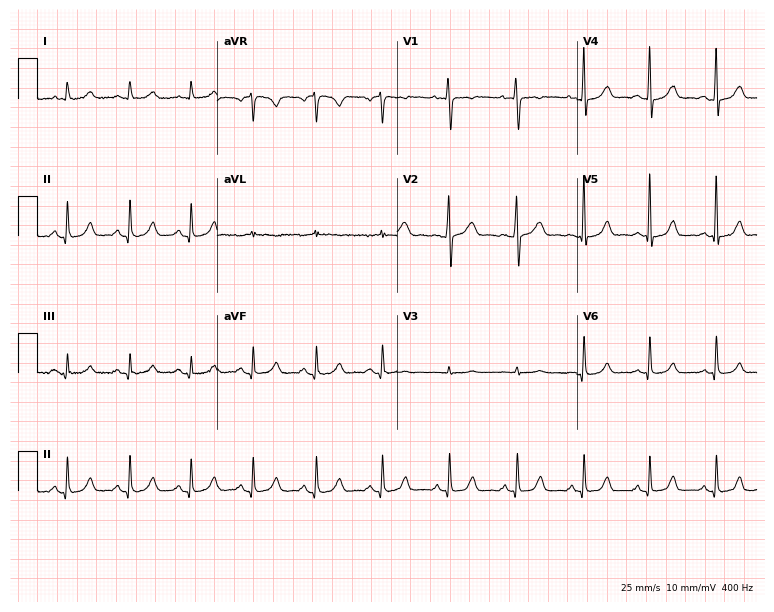
Electrocardiogram, a female patient, 32 years old. Of the six screened findings (first-degree AV block, right bundle branch block, left bundle branch block, sinus bradycardia, atrial fibrillation, sinus tachycardia), none is recorded. Only these six findings were labelled.